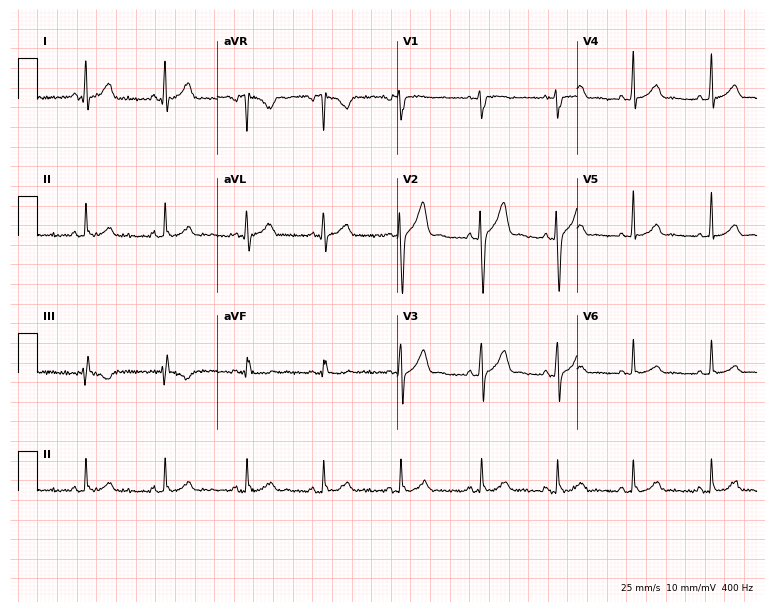
ECG — a male, 27 years old. Screened for six findings — first-degree AV block, right bundle branch block, left bundle branch block, sinus bradycardia, atrial fibrillation, sinus tachycardia — none is recorded.